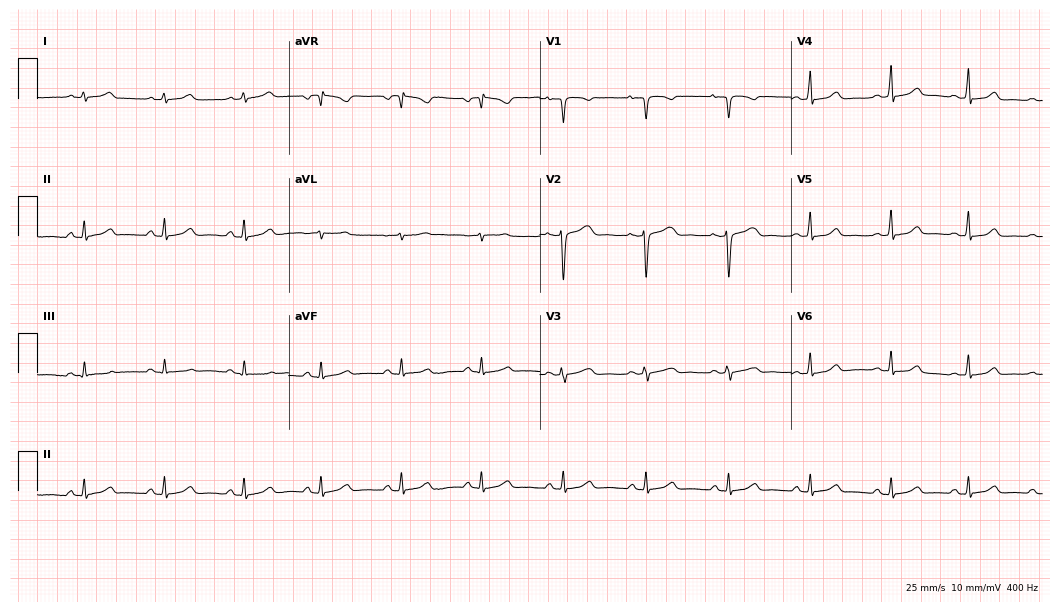
Standard 12-lead ECG recorded from a 46-year-old woman. Read as a normal ECG.